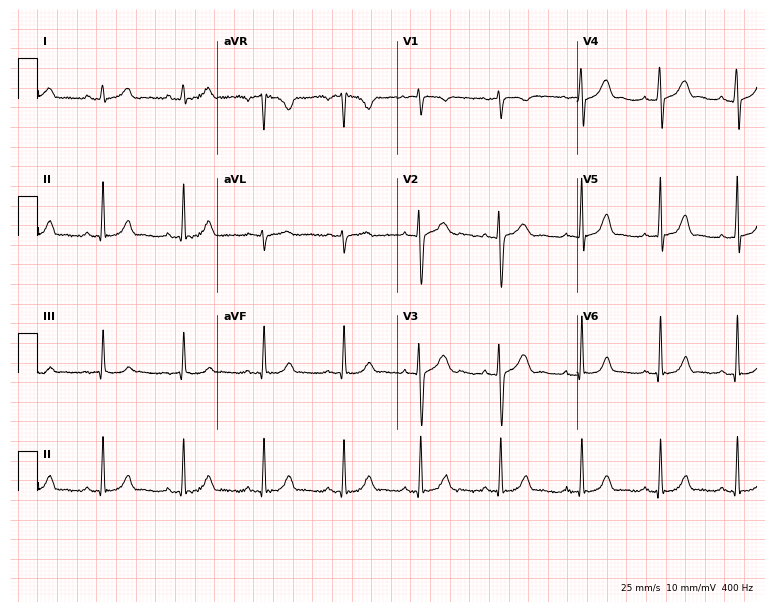
12-lead ECG from a 23-year-old female (7.3-second recording at 400 Hz). No first-degree AV block, right bundle branch block, left bundle branch block, sinus bradycardia, atrial fibrillation or sinus tachycardia recorded for this tracing.